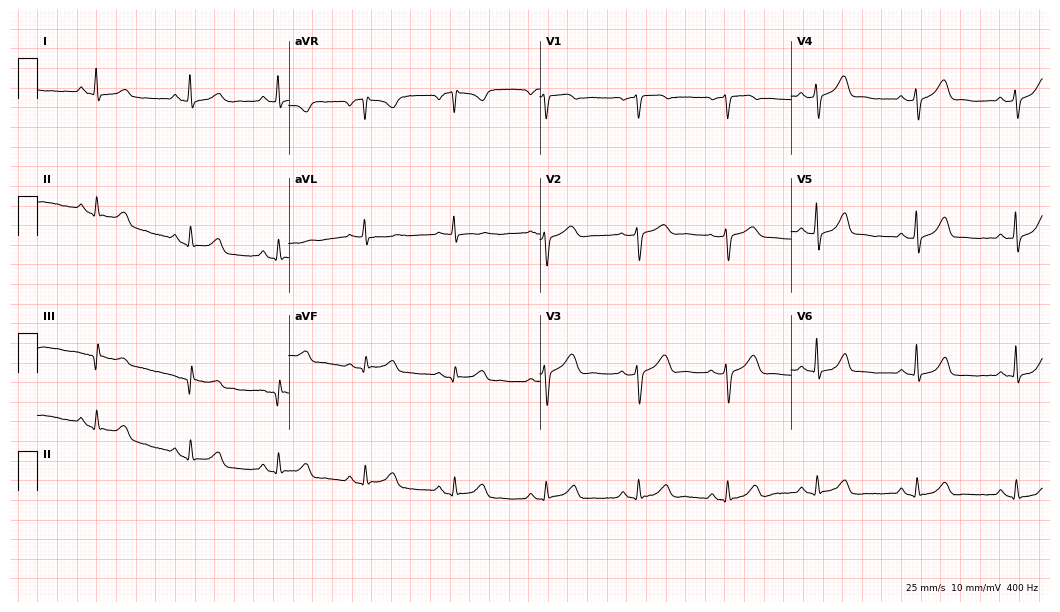
12-lead ECG from a female patient, 44 years old (10.2-second recording at 400 Hz). Recorded interpretation: within normal limits.